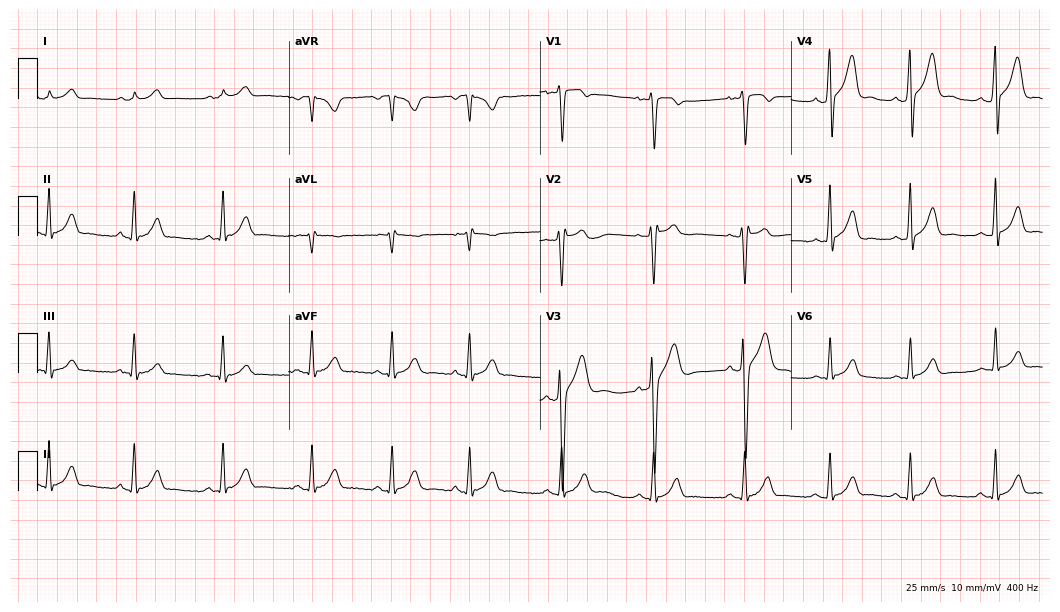
Resting 12-lead electrocardiogram (10.2-second recording at 400 Hz). Patient: a 22-year-old male. None of these six findings is recorded: first-degree AV block, right bundle branch block, left bundle branch block, sinus bradycardia, atrial fibrillation, sinus tachycardia. Other findings, if any, are not listed.